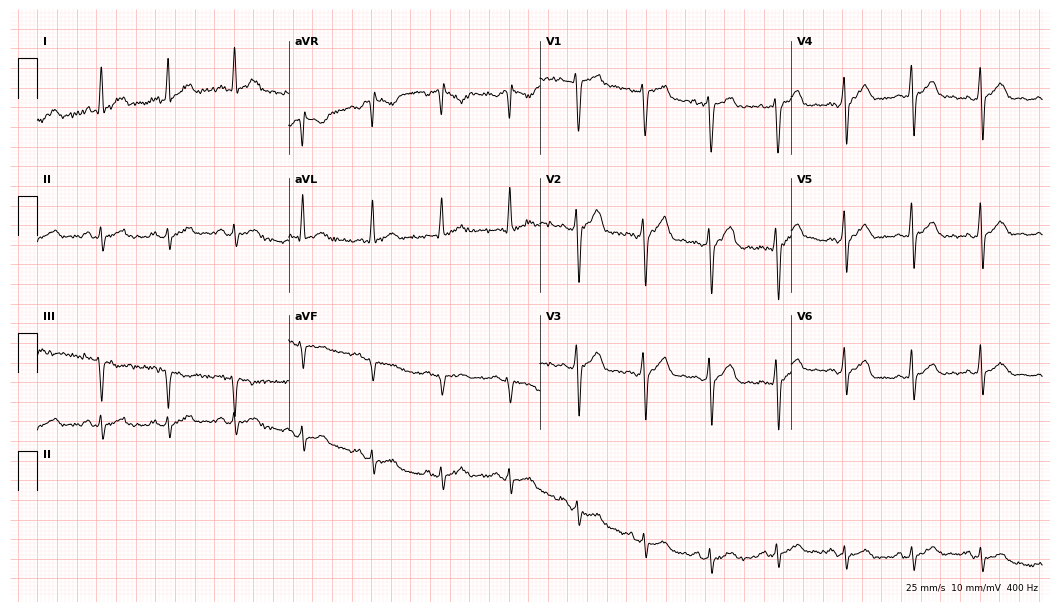
12-lead ECG from a 31-year-old male patient. Screened for six findings — first-degree AV block, right bundle branch block, left bundle branch block, sinus bradycardia, atrial fibrillation, sinus tachycardia — none is recorded.